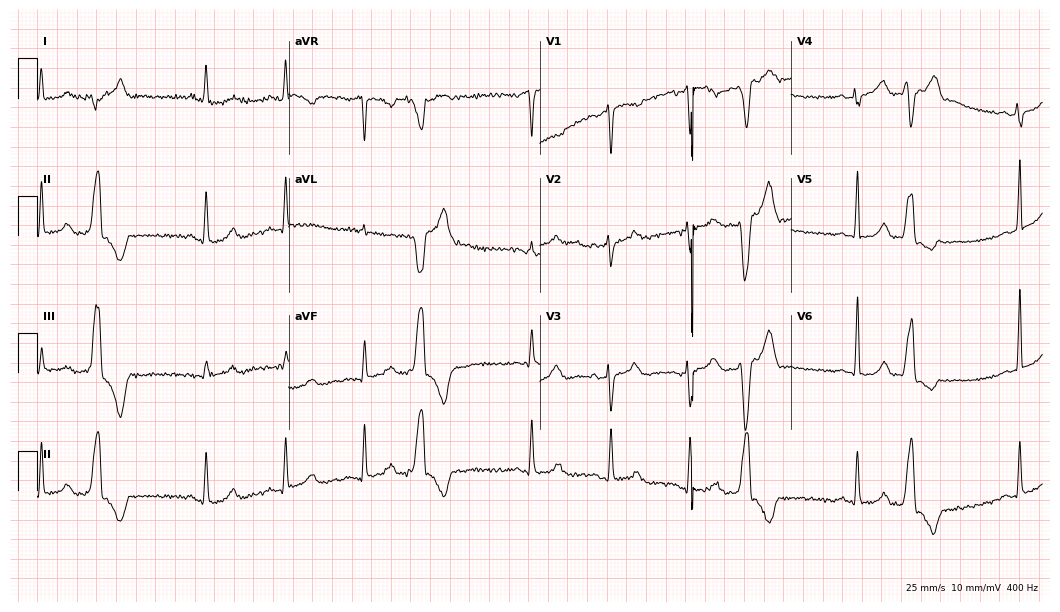
Resting 12-lead electrocardiogram. Patient: a 47-year-old female. None of these six findings is recorded: first-degree AV block, right bundle branch block, left bundle branch block, sinus bradycardia, atrial fibrillation, sinus tachycardia. Findings outside these six are not listed.